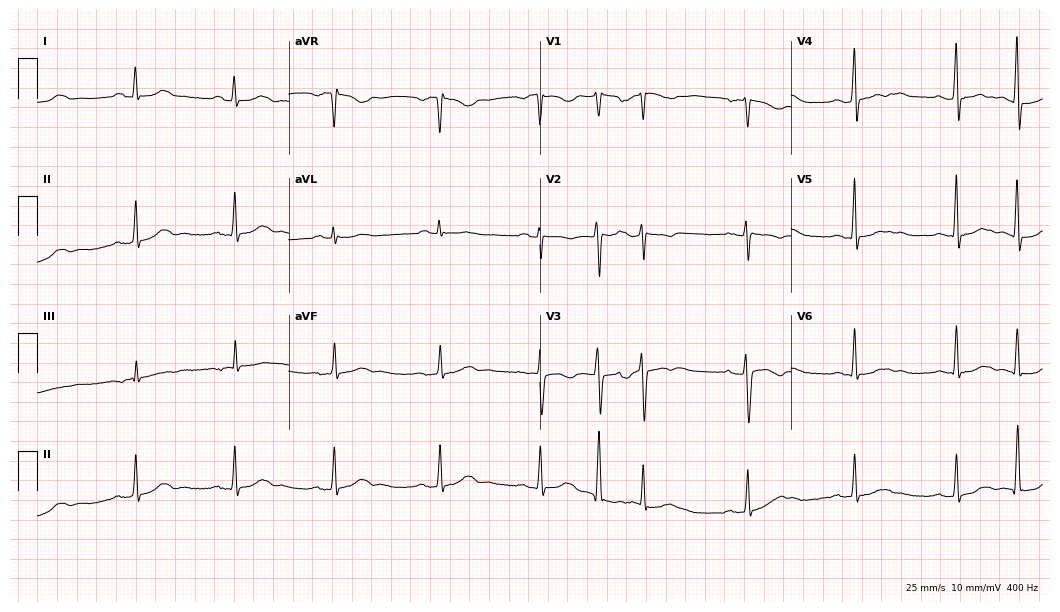
12-lead ECG from a 49-year-old woman. Shows first-degree AV block.